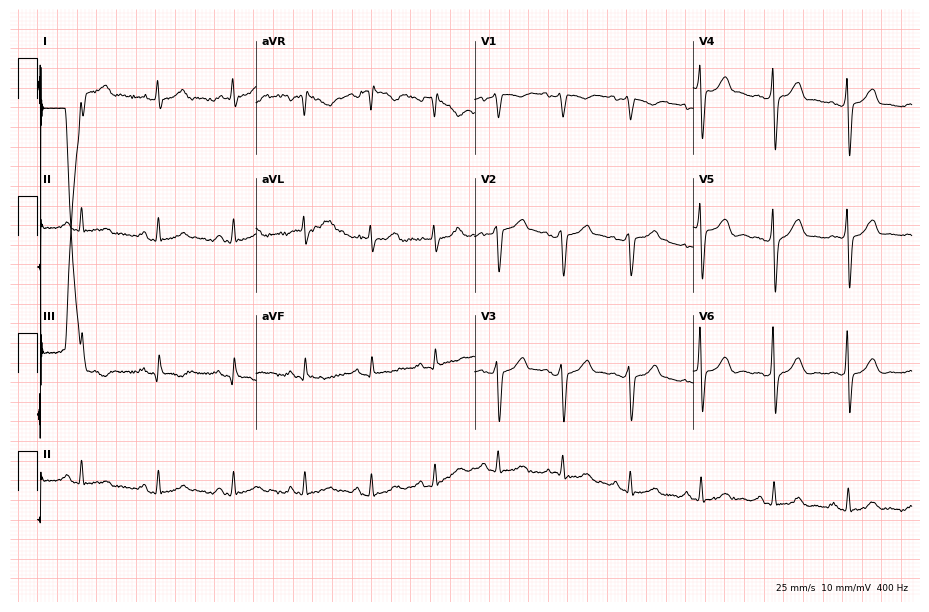
12-lead ECG (8.9-second recording at 400 Hz) from a male, 44 years old. Labelled as a normal ECG.